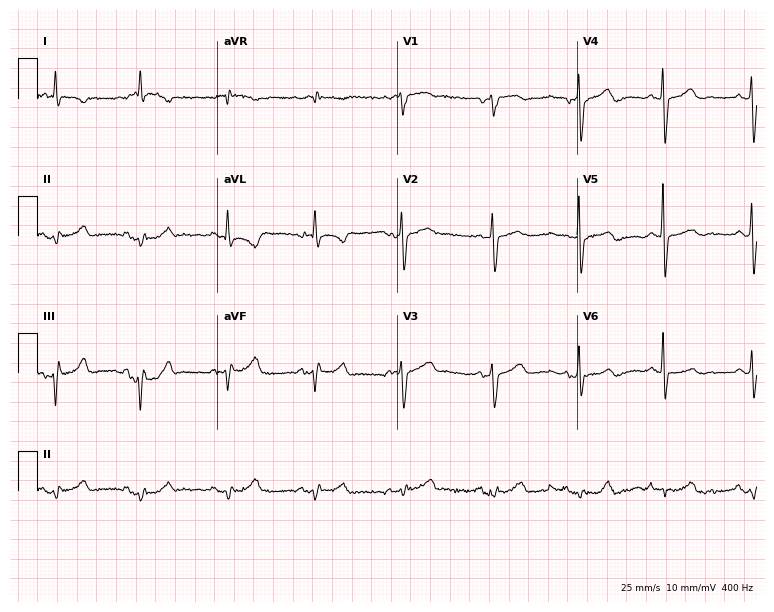
Resting 12-lead electrocardiogram. Patient: a woman, 79 years old. None of these six findings is recorded: first-degree AV block, right bundle branch block, left bundle branch block, sinus bradycardia, atrial fibrillation, sinus tachycardia. Other findings, if any, are not listed.